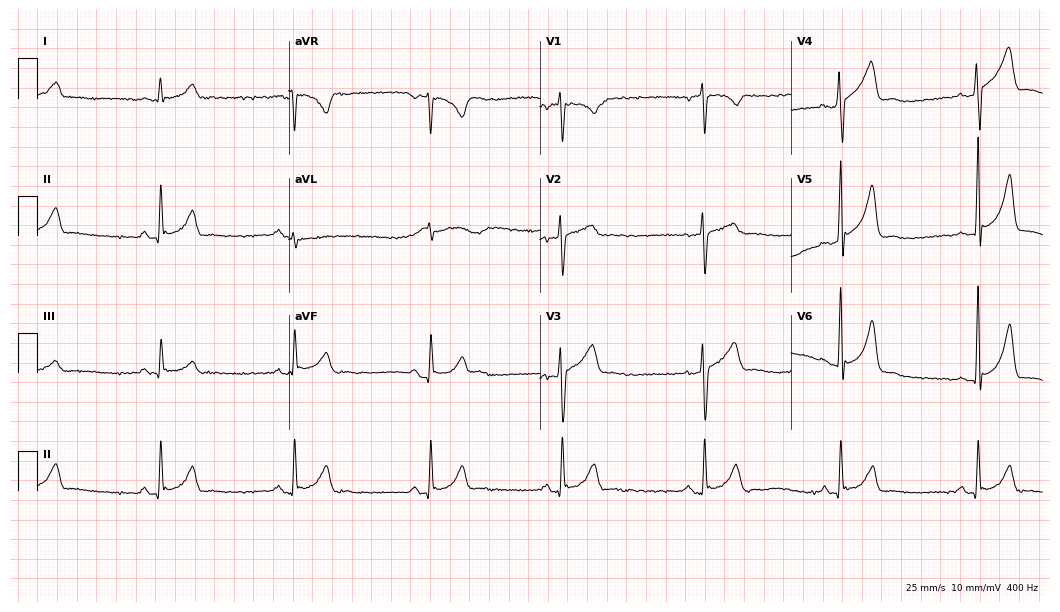
12-lead ECG from a 40-year-old man (10.2-second recording at 400 Hz). No first-degree AV block, right bundle branch block, left bundle branch block, sinus bradycardia, atrial fibrillation or sinus tachycardia recorded for this tracing. Only these six findings were labelled.